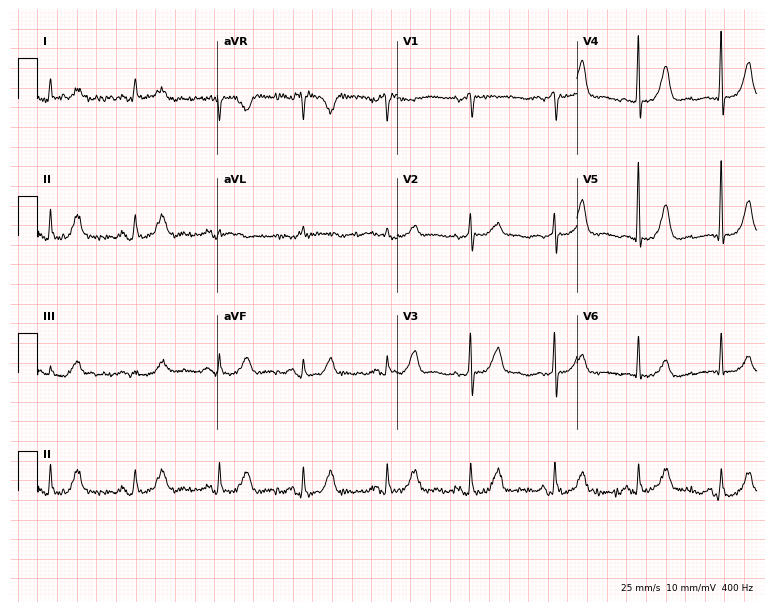
12-lead ECG (7.3-second recording at 400 Hz) from a female, 79 years old. Screened for six findings — first-degree AV block, right bundle branch block, left bundle branch block, sinus bradycardia, atrial fibrillation, sinus tachycardia — none is recorded. Only these six findings were labelled.